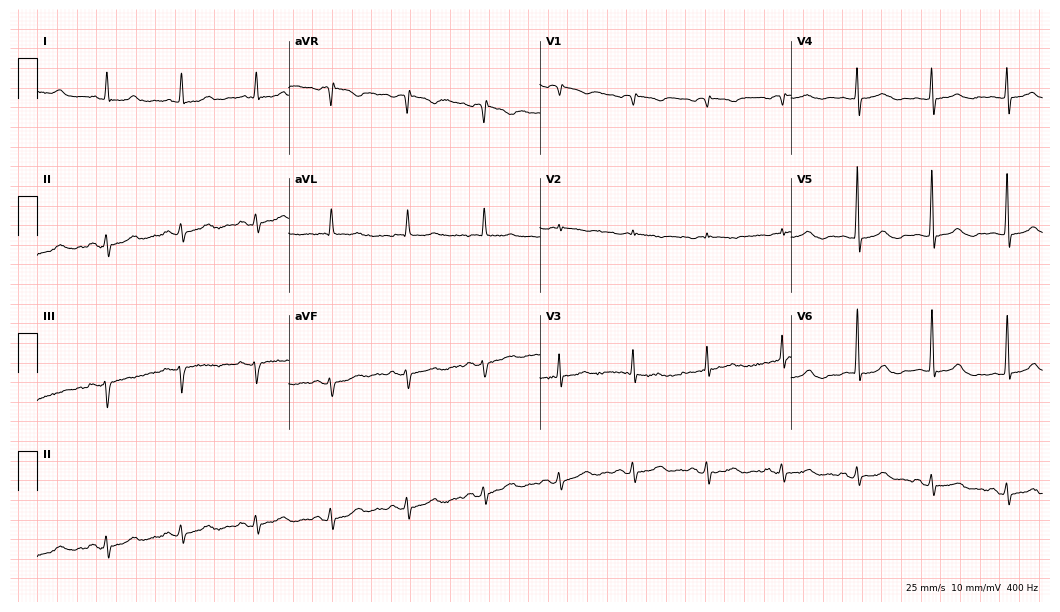
12-lead ECG from an 84-year-old female. Screened for six findings — first-degree AV block, right bundle branch block, left bundle branch block, sinus bradycardia, atrial fibrillation, sinus tachycardia — none is recorded.